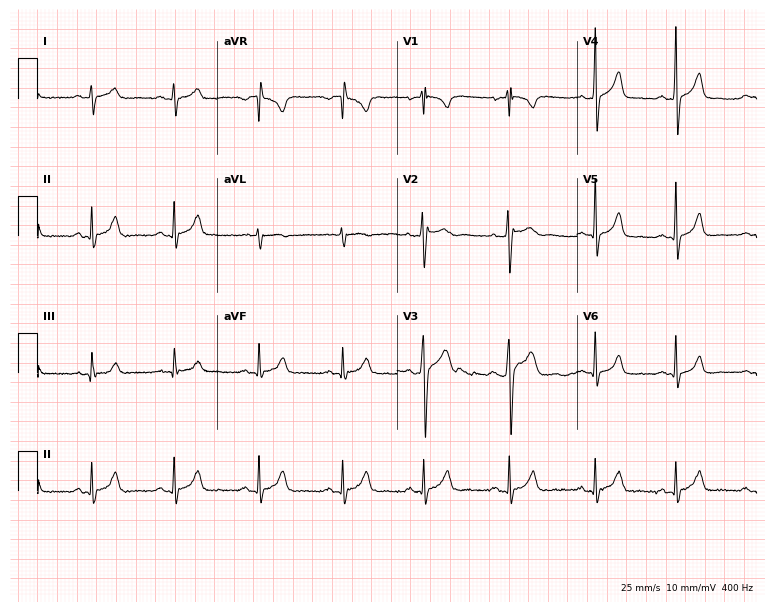
Resting 12-lead electrocardiogram (7.3-second recording at 400 Hz). Patient: a man, 22 years old. Read as a normal ECG.